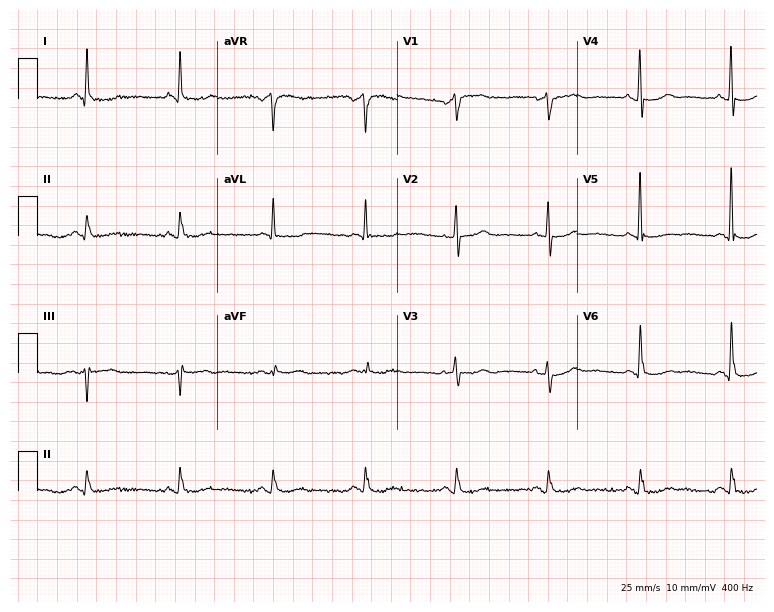
Standard 12-lead ECG recorded from an 84-year-old male patient (7.3-second recording at 400 Hz). None of these six findings is recorded: first-degree AV block, right bundle branch block (RBBB), left bundle branch block (LBBB), sinus bradycardia, atrial fibrillation (AF), sinus tachycardia. Other findings, if any, are not listed.